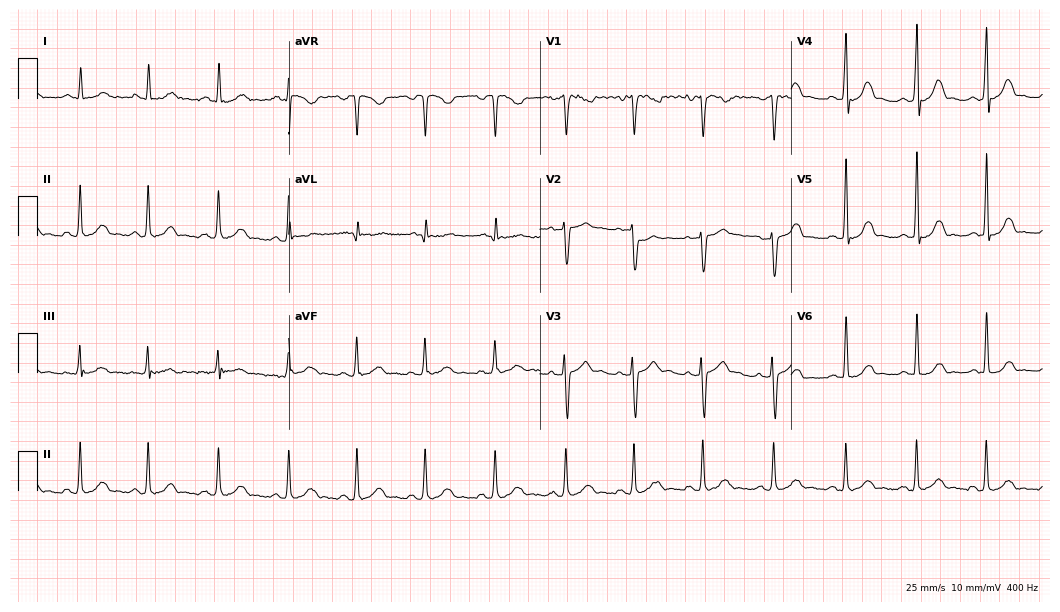
Resting 12-lead electrocardiogram. Patient: a 25-year-old woman. Read as a normal ECG.